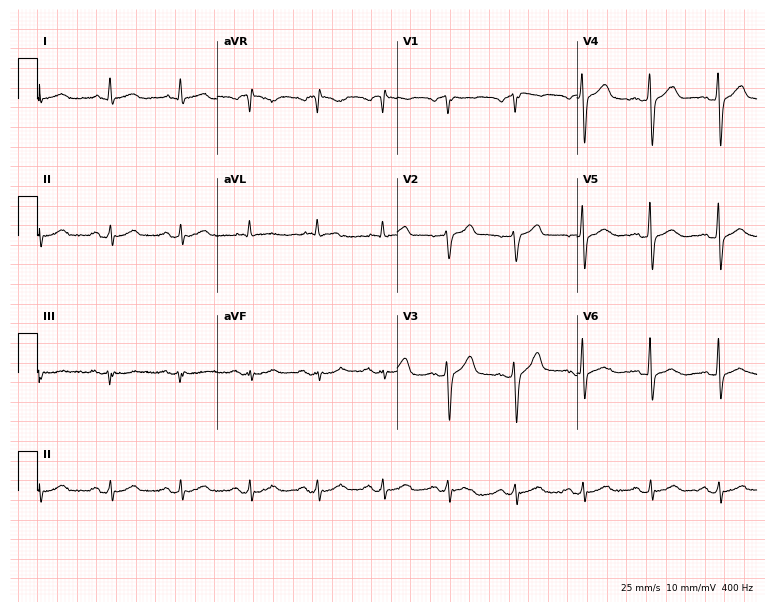
Standard 12-lead ECG recorded from a male, 62 years old. Read as a normal ECG.